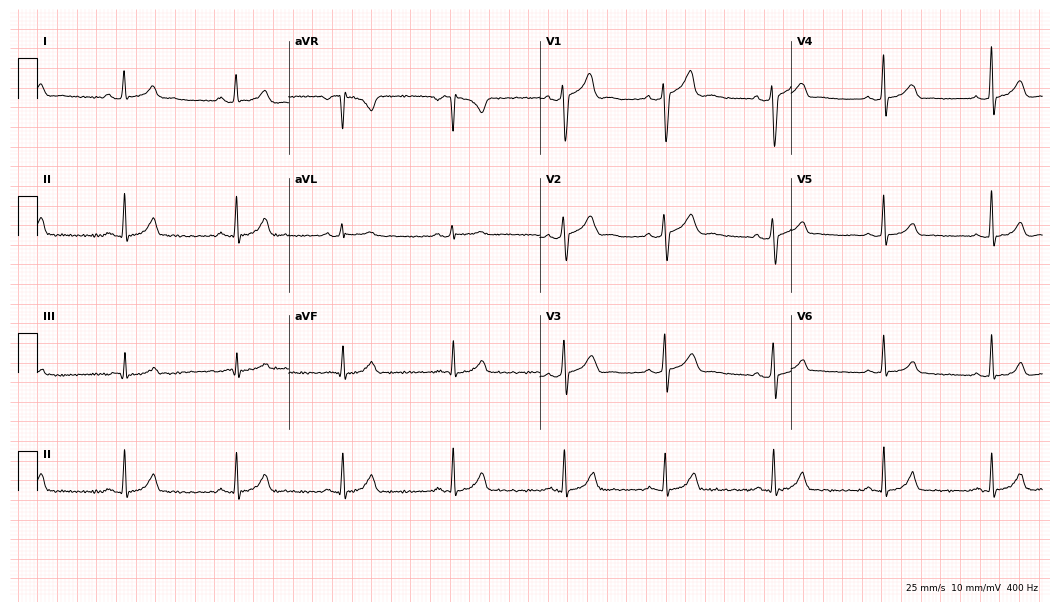
12-lead ECG from a 36-year-old man. Recorded interpretation: within normal limits.